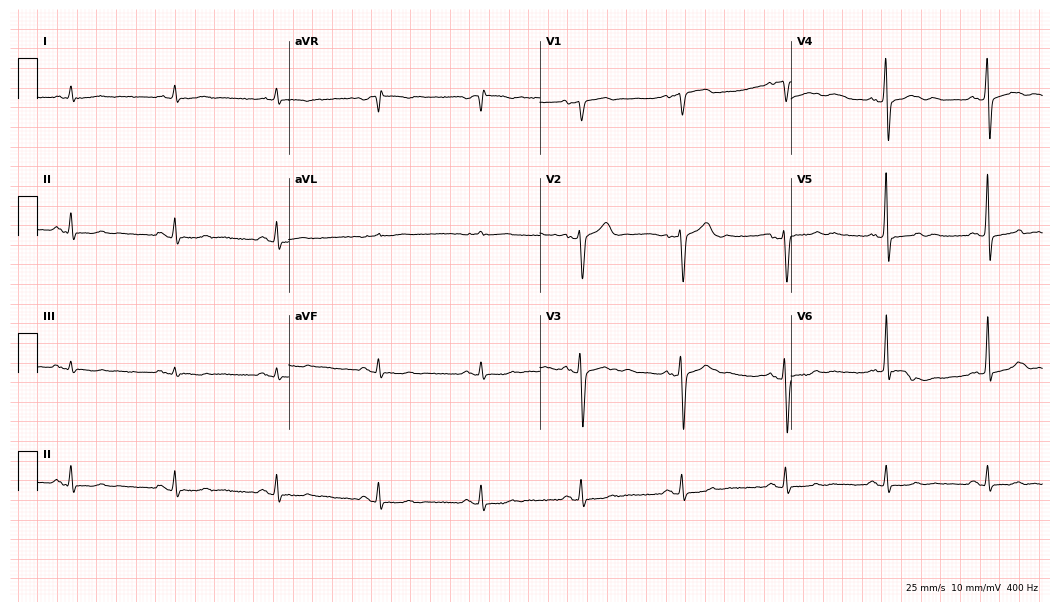
Electrocardiogram, a 62-year-old male. Of the six screened findings (first-degree AV block, right bundle branch block (RBBB), left bundle branch block (LBBB), sinus bradycardia, atrial fibrillation (AF), sinus tachycardia), none is recorded.